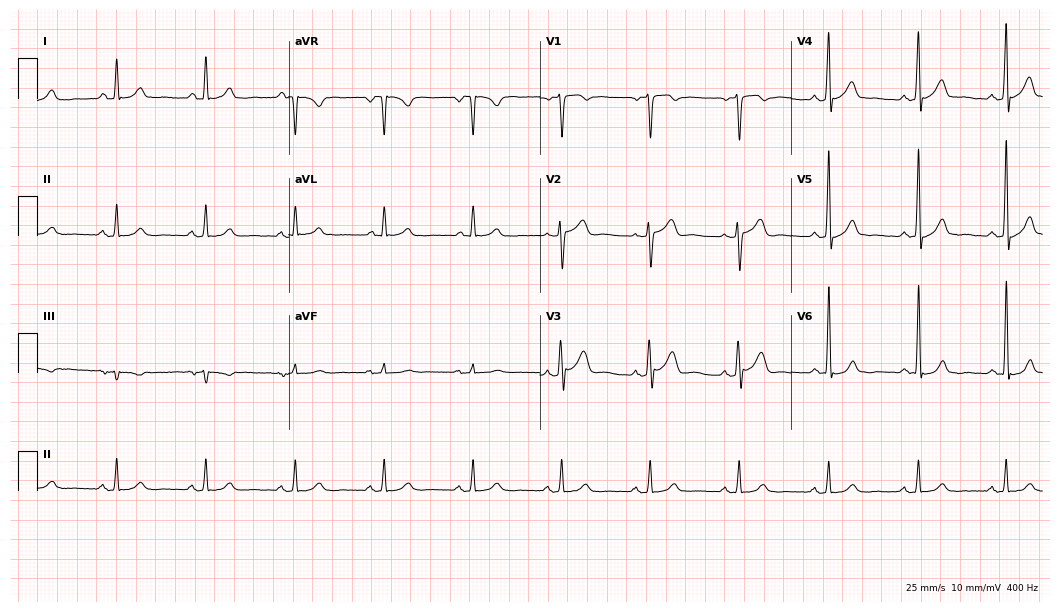
12-lead ECG (10.2-second recording at 400 Hz) from a 52-year-old male patient. Labelled as a normal ECG.